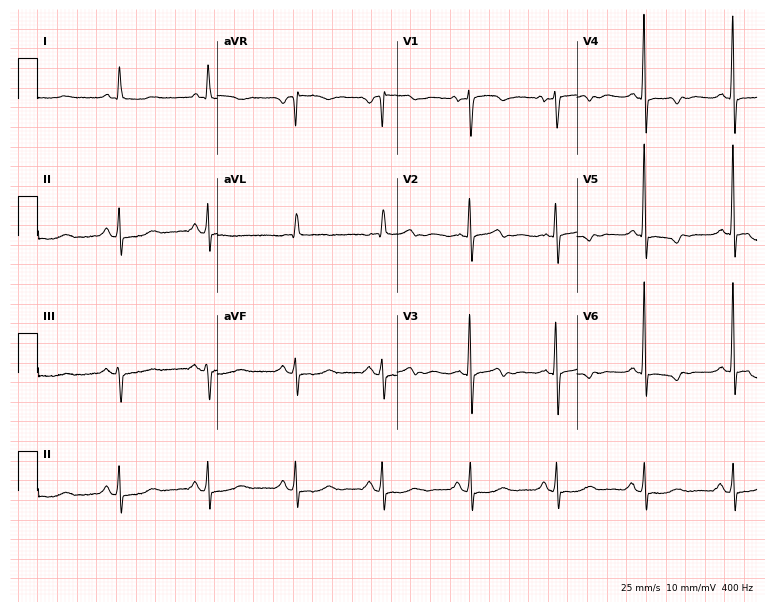
12-lead ECG from a female, 74 years old. Screened for six findings — first-degree AV block, right bundle branch block, left bundle branch block, sinus bradycardia, atrial fibrillation, sinus tachycardia — none is recorded.